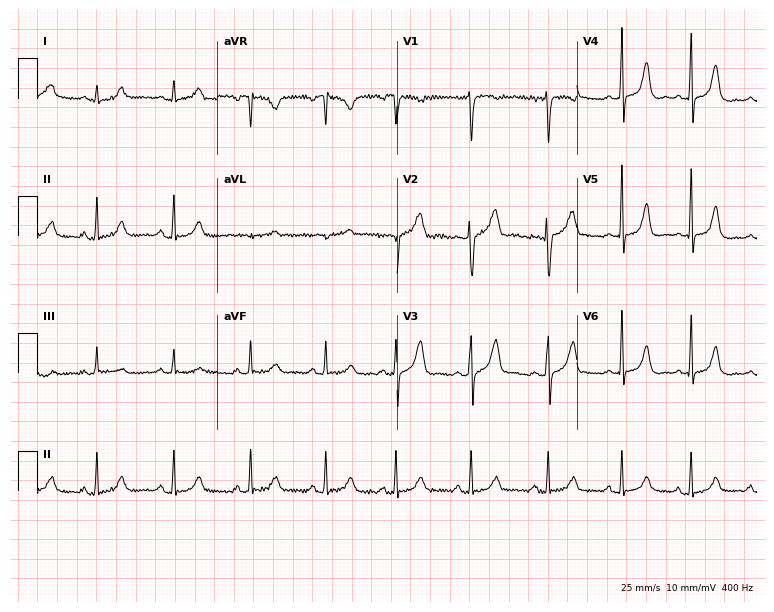
12-lead ECG from a 31-year-old woman. Screened for six findings — first-degree AV block, right bundle branch block, left bundle branch block, sinus bradycardia, atrial fibrillation, sinus tachycardia — none is recorded. Other findings, if any, are not listed.